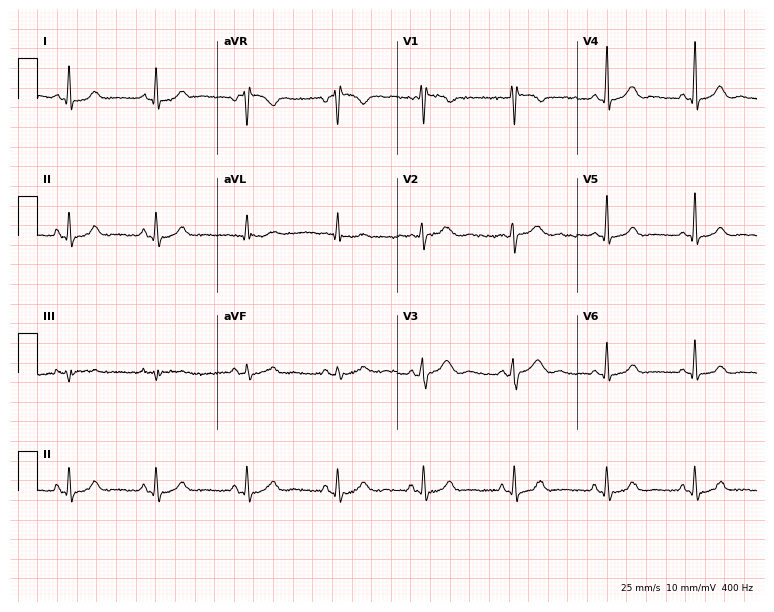
12-lead ECG from a 47-year-old female patient (7.3-second recording at 400 Hz). Recorded interpretation: within normal limits.